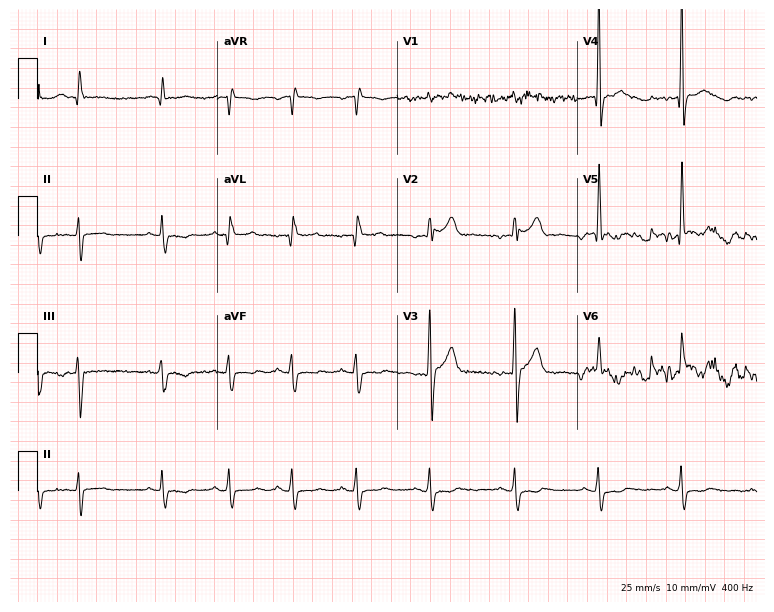
12-lead ECG from a man, 43 years old. Screened for six findings — first-degree AV block, right bundle branch block, left bundle branch block, sinus bradycardia, atrial fibrillation, sinus tachycardia — none is recorded.